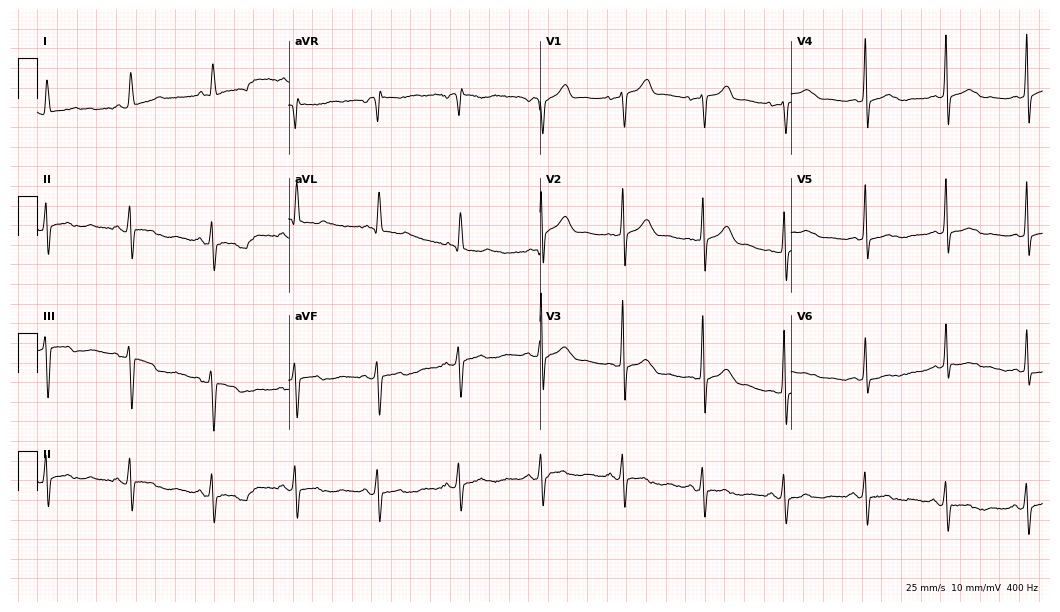
ECG — a female, 75 years old. Screened for six findings — first-degree AV block, right bundle branch block (RBBB), left bundle branch block (LBBB), sinus bradycardia, atrial fibrillation (AF), sinus tachycardia — none is recorded.